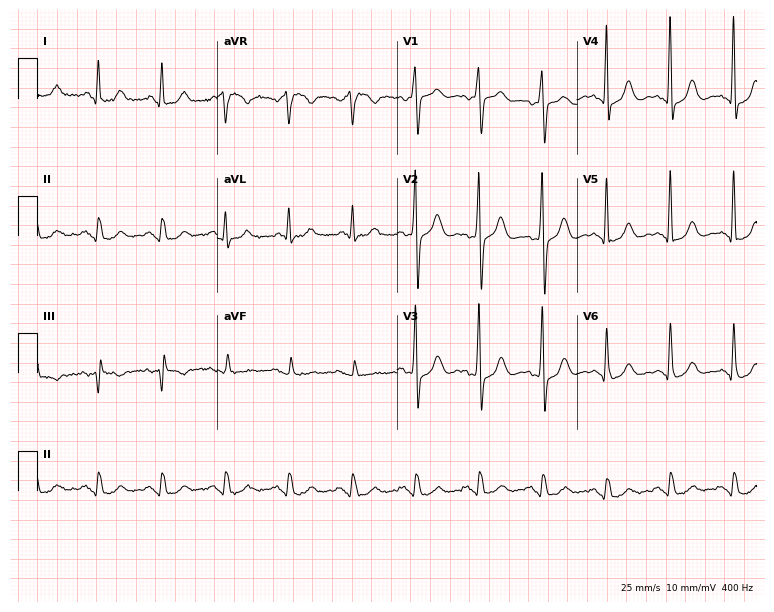
Resting 12-lead electrocardiogram. Patient: a female, 75 years old. None of these six findings is recorded: first-degree AV block, right bundle branch block, left bundle branch block, sinus bradycardia, atrial fibrillation, sinus tachycardia.